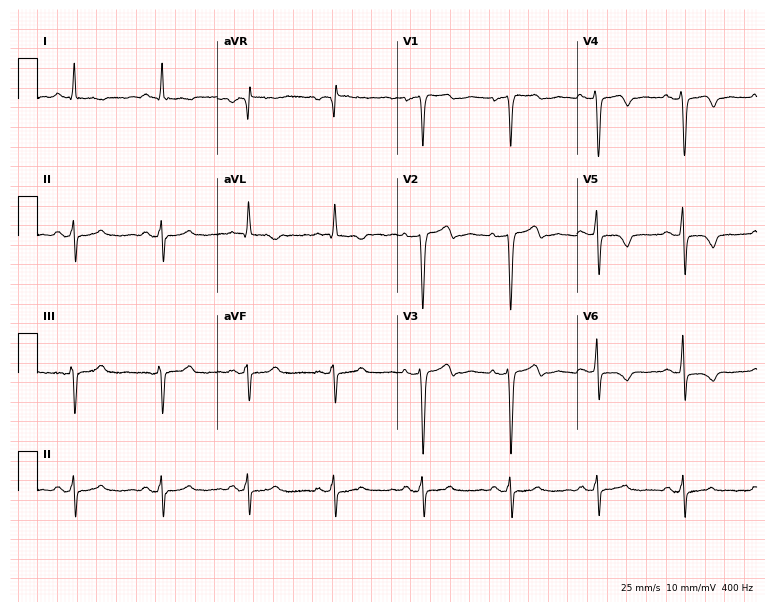
Standard 12-lead ECG recorded from a female patient, 69 years old. None of these six findings is recorded: first-degree AV block, right bundle branch block (RBBB), left bundle branch block (LBBB), sinus bradycardia, atrial fibrillation (AF), sinus tachycardia.